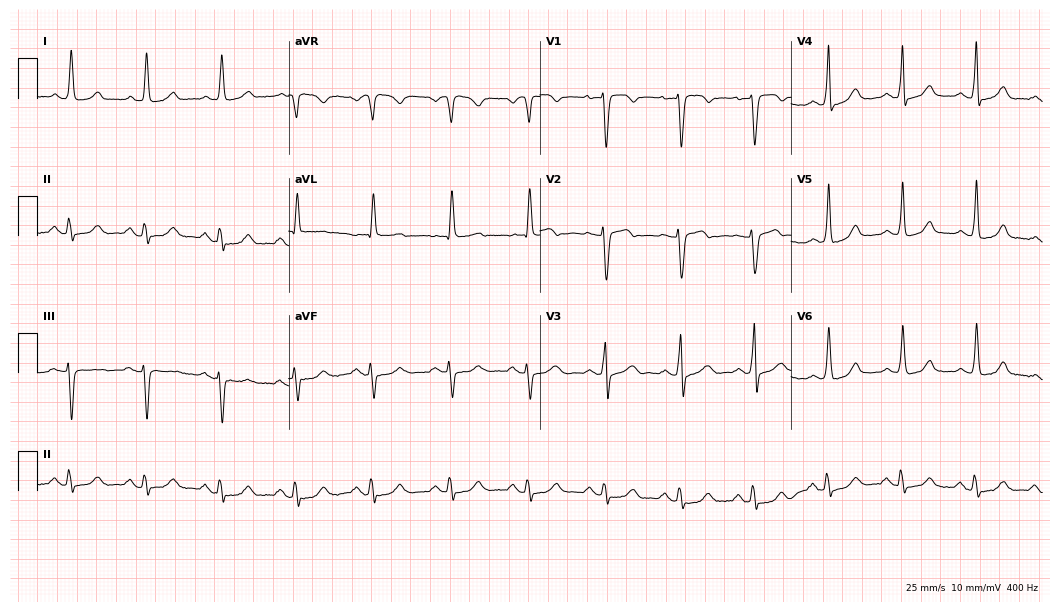
12-lead ECG from a 63-year-old female (10.2-second recording at 400 Hz). Recorded interpretation: within normal limits.